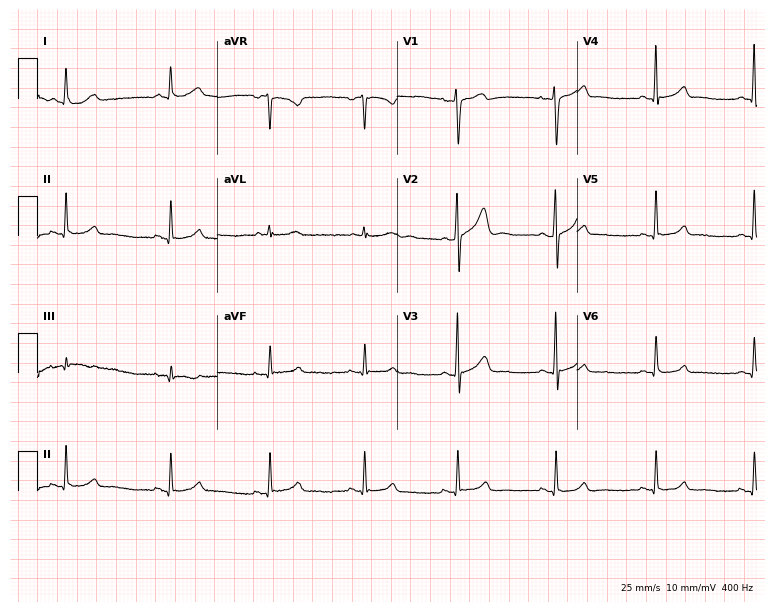
Resting 12-lead electrocardiogram (7.3-second recording at 400 Hz). Patient: a 34-year-old male. None of these six findings is recorded: first-degree AV block, right bundle branch block, left bundle branch block, sinus bradycardia, atrial fibrillation, sinus tachycardia.